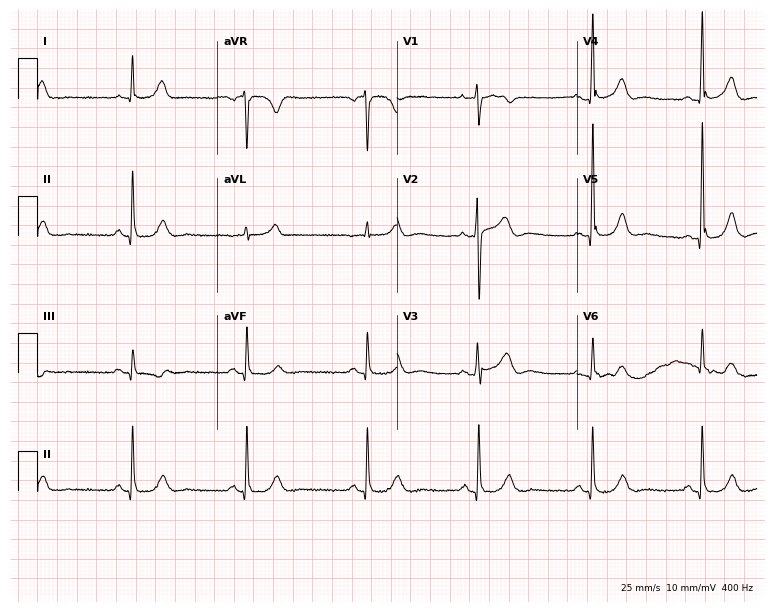
Electrocardiogram (7.3-second recording at 400 Hz), a male patient, 62 years old. Overall reading on record: normal ECG.